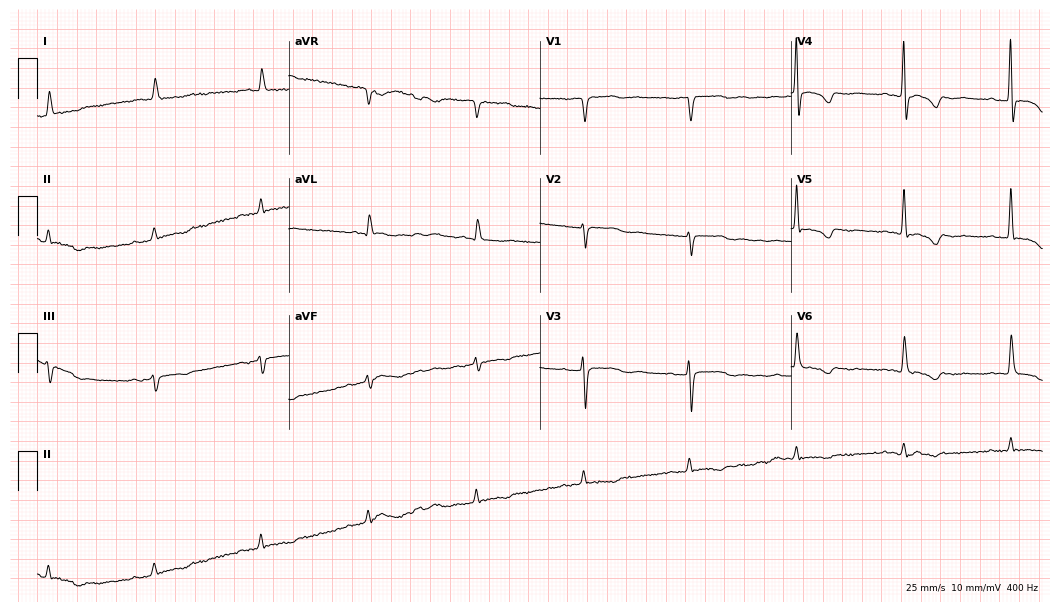
12-lead ECG (10.2-second recording at 400 Hz) from an 81-year-old man. Screened for six findings — first-degree AV block, right bundle branch block, left bundle branch block, sinus bradycardia, atrial fibrillation, sinus tachycardia — none is recorded.